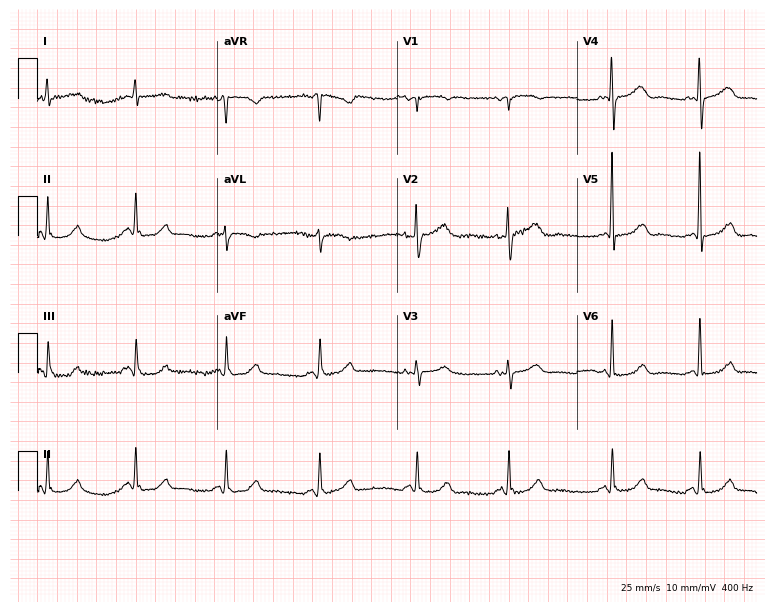
Resting 12-lead electrocardiogram (7.3-second recording at 400 Hz). Patient: a 74-year-old woman. None of these six findings is recorded: first-degree AV block, right bundle branch block, left bundle branch block, sinus bradycardia, atrial fibrillation, sinus tachycardia.